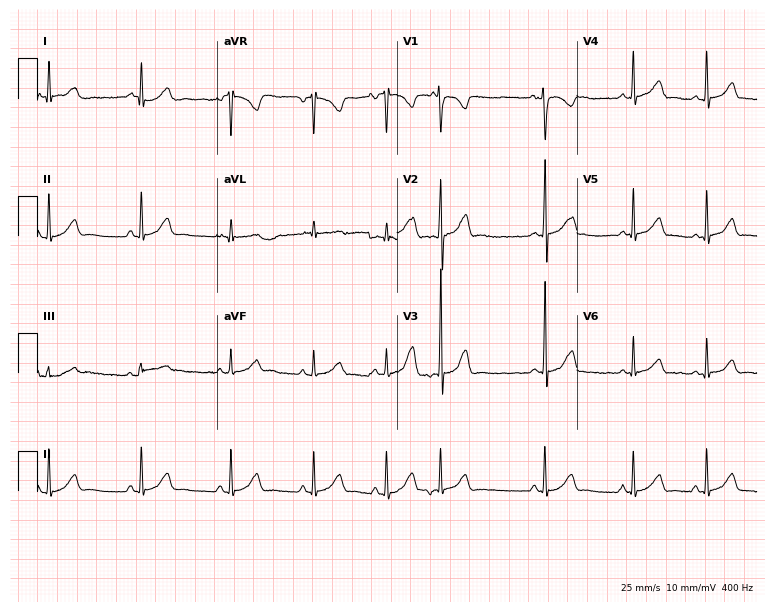
Resting 12-lead electrocardiogram. Patient: a 17-year-old male. Read as a normal ECG.